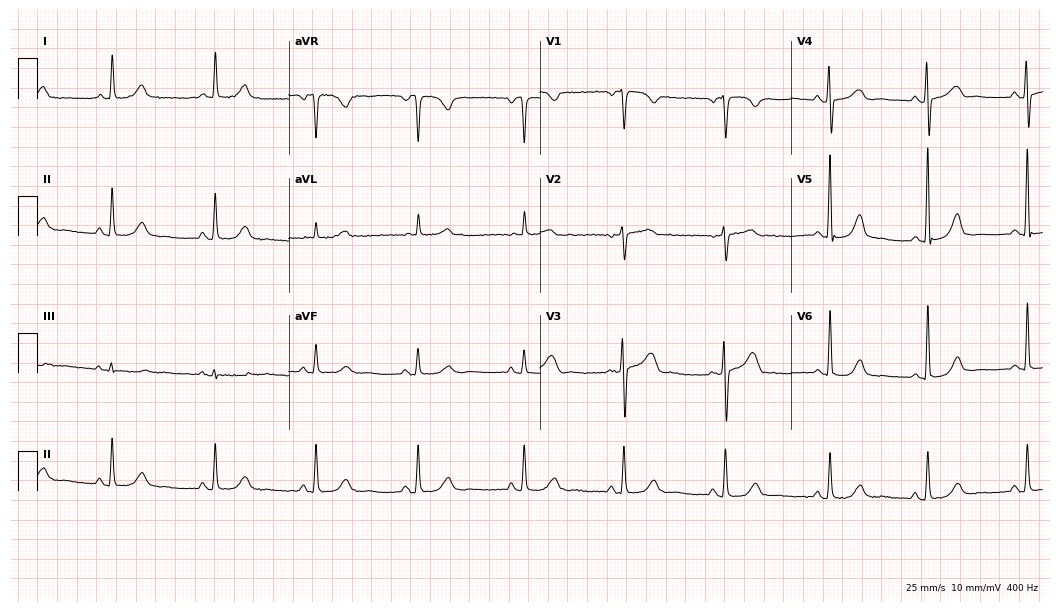
Resting 12-lead electrocardiogram. Patient: a female, 71 years old. None of these six findings is recorded: first-degree AV block, right bundle branch block, left bundle branch block, sinus bradycardia, atrial fibrillation, sinus tachycardia. Other findings, if any, are not listed.